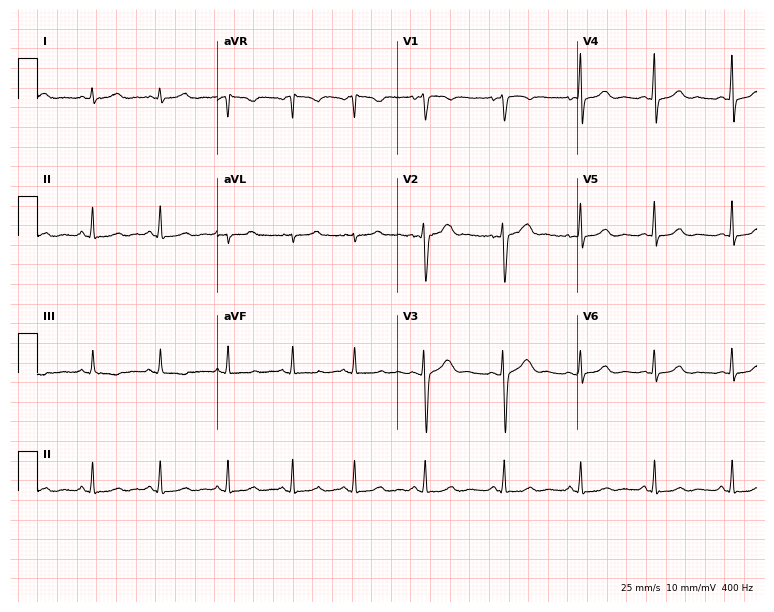
Standard 12-lead ECG recorded from a female, 34 years old. None of these six findings is recorded: first-degree AV block, right bundle branch block (RBBB), left bundle branch block (LBBB), sinus bradycardia, atrial fibrillation (AF), sinus tachycardia.